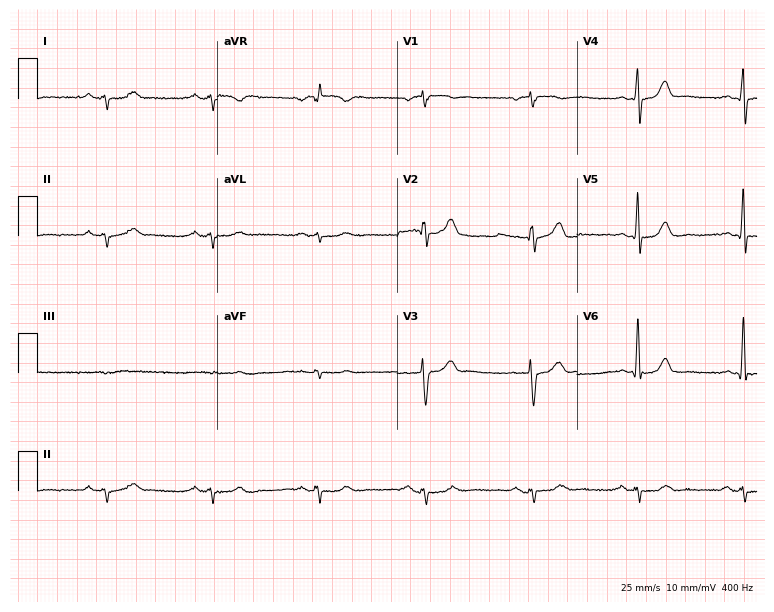
Electrocardiogram, a 73-year-old male. Of the six screened findings (first-degree AV block, right bundle branch block (RBBB), left bundle branch block (LBBB), sinus bradycardia, atrial fibrillation (AF), sinus tachycardia), none is recorded. Other findings, if any, are not listed.